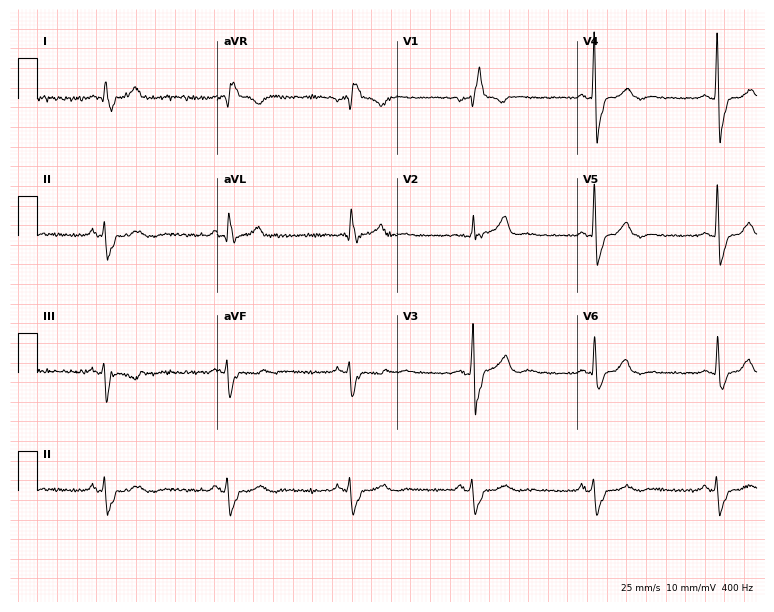
12-lead ECG (7.3-second recording at 400 Hz) from a male patient, 78 years old. Findings include right bundle branch block (RBBB).